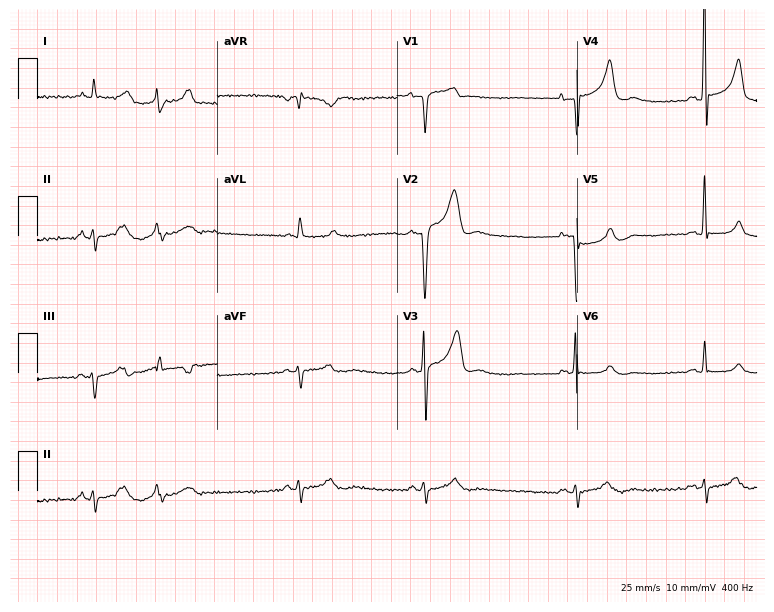
ECG (7.3-second recording at 400 Hz) — a 70-year-old male patient. Screened for six findings — first-degree AV block, right bundle branch block, left bundle branch block, sinus bradycardia, atrial fibrillation, sinus tachycardia — none is recorded. Findings outside these six are not listed.